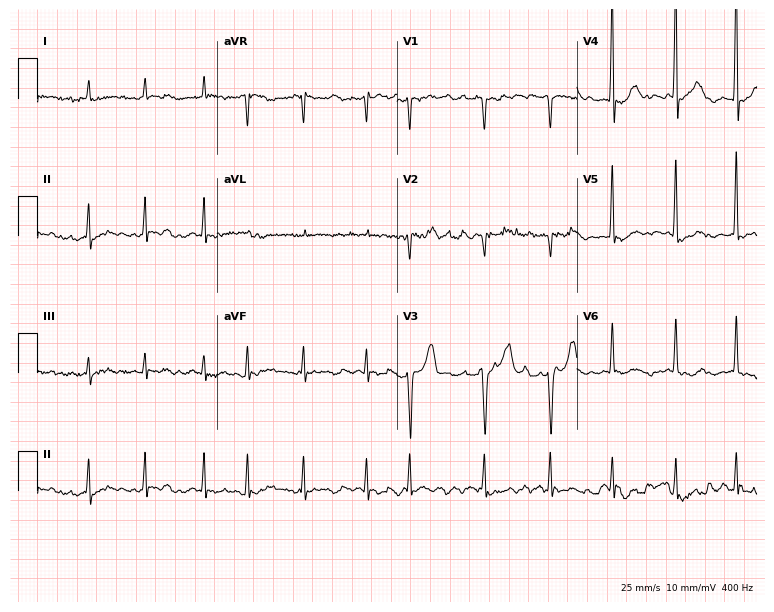
ECG (7.3-second recording at 400 Hz) — a man, 79 years old. Findings include atrial fibrillation.